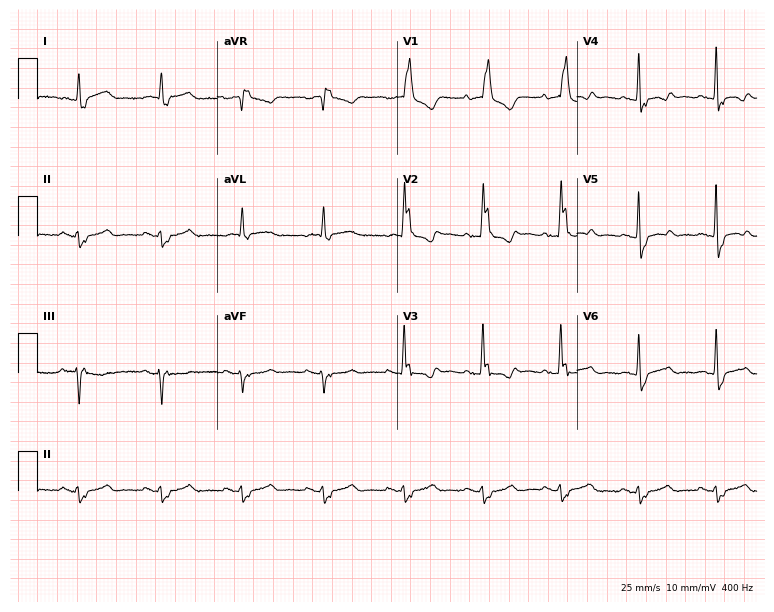
Electrocardiogram (7.3-second recording at 400 Hz), a male, 82 years old. Interpretation includes right bundle branch block.